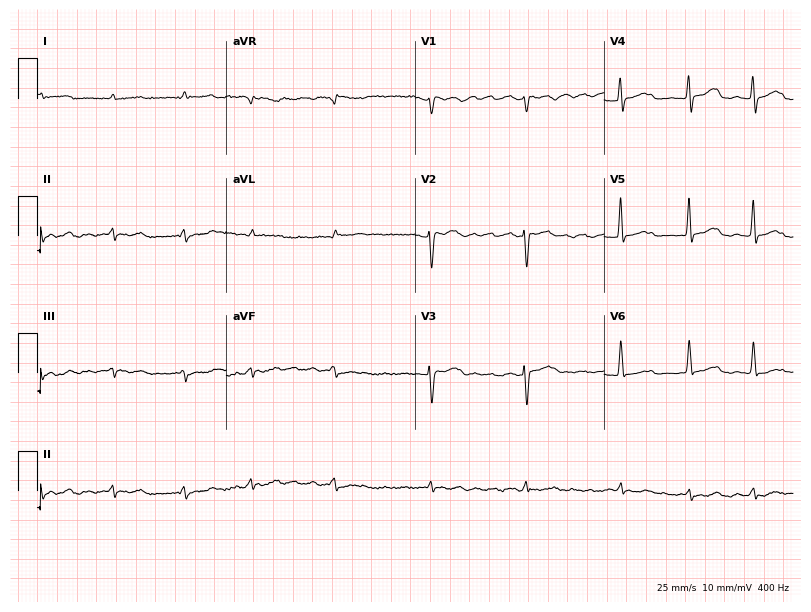
12-lead ECG from a woman, 69 years old. Shows atrial fibrillation.